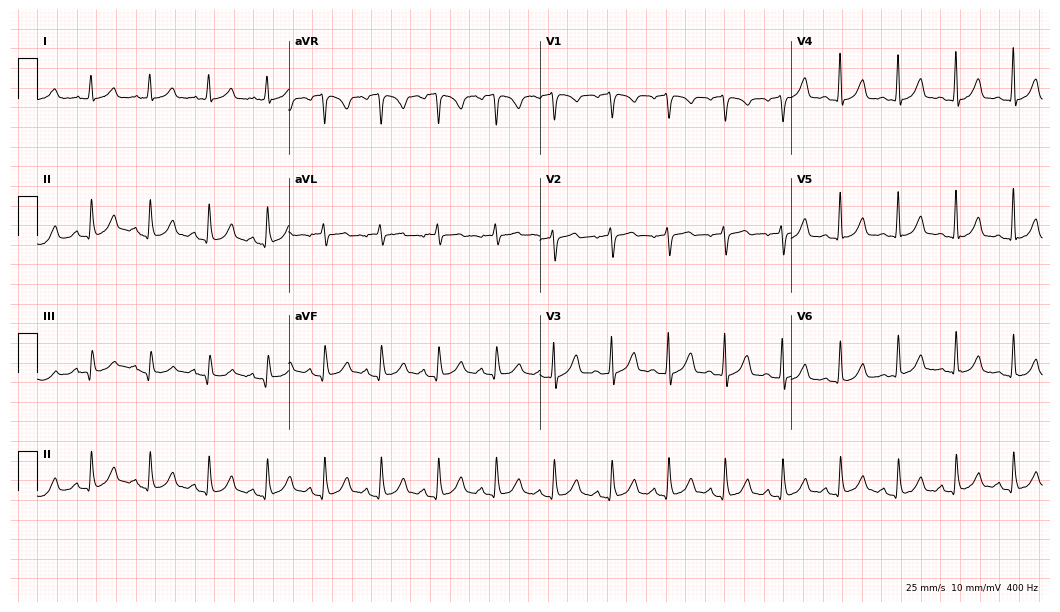
ECG — a 55-year-old woman. Findings include sinus tachycardia (a sinus rate of 100 beats per minute or more).